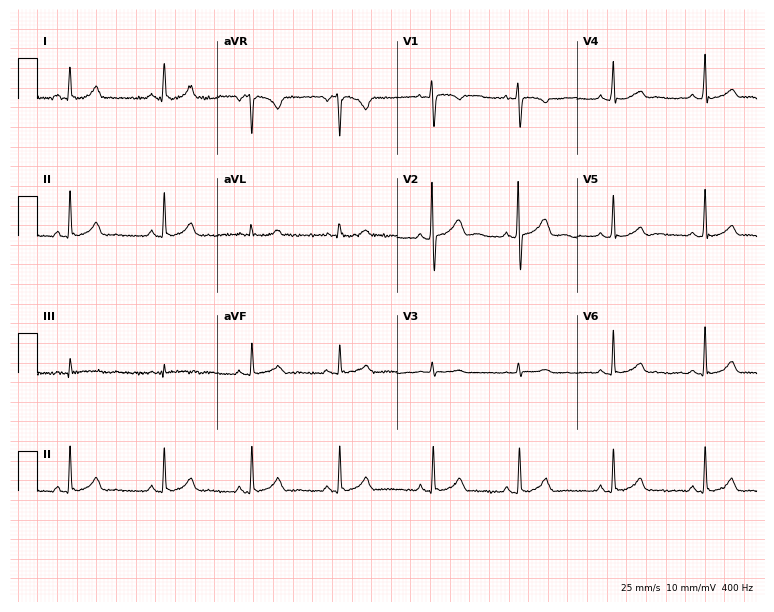
Standard 12-lead ECG recorded from a female patient, 33 years old (7.3-second recording at 400 Hz). Read as a normal ECG.